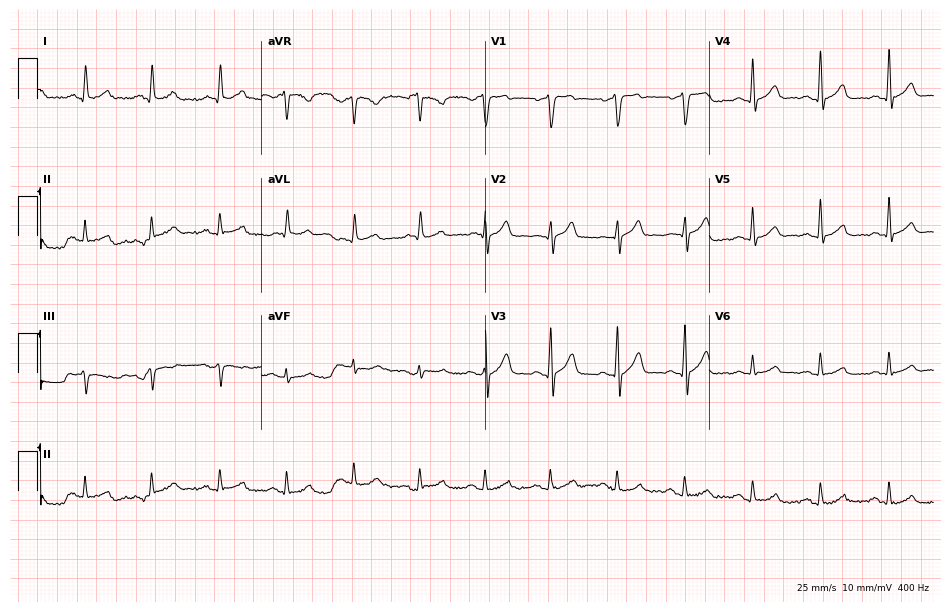
Resting 12-lead electrocardiogram (9.1-second recording at 400 Hz). Patient: a 75-year-old man. Read as a normal ECG.